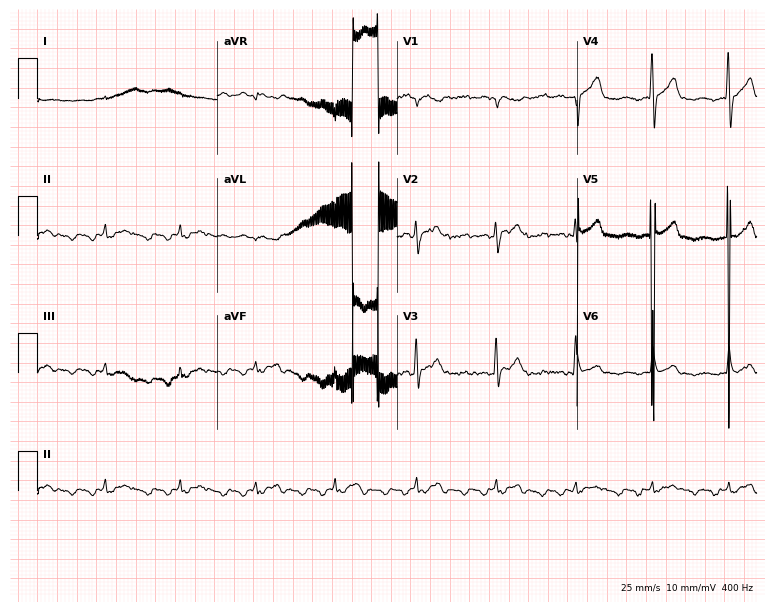
Resting 12-lead electrocardiogram. Patient: a 77-year-old male. The tracing shows atrial fibrillation.